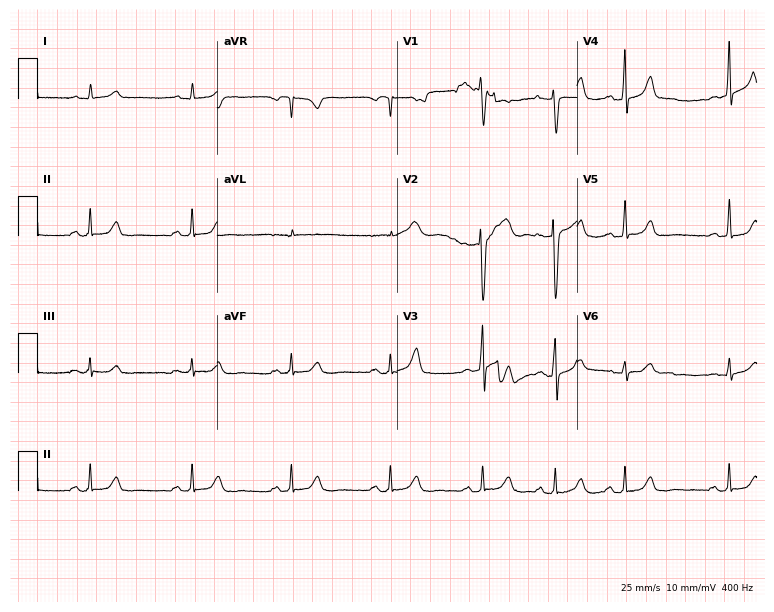
Standard 12-lead ECG recorded from a female patient, 36 years old. Read as a normal ECG.